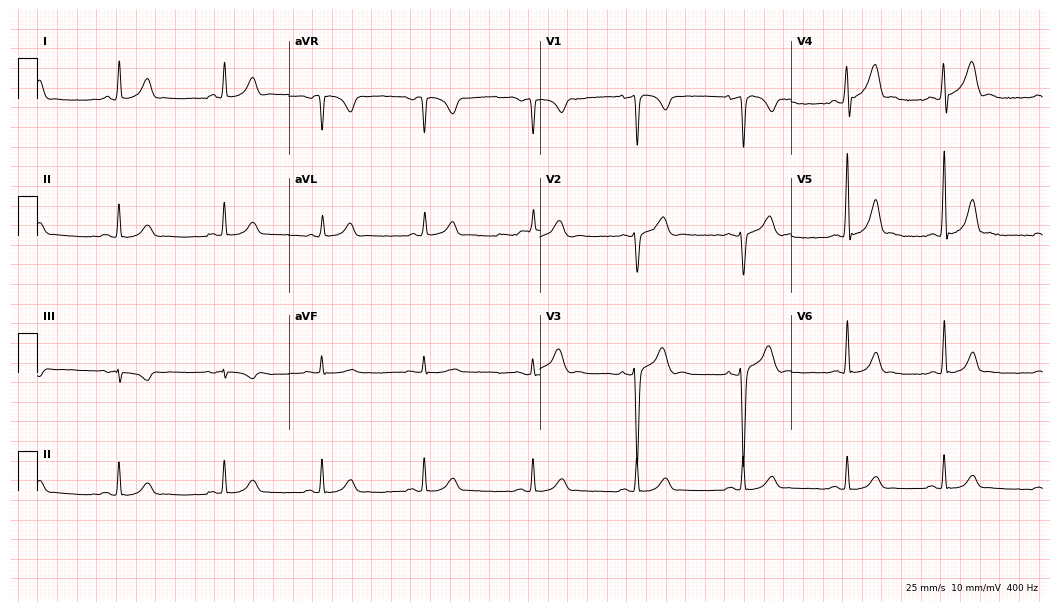
Standard 12-lead ECG recorded from a 43-year-old male patient. Read as a normal ECG.